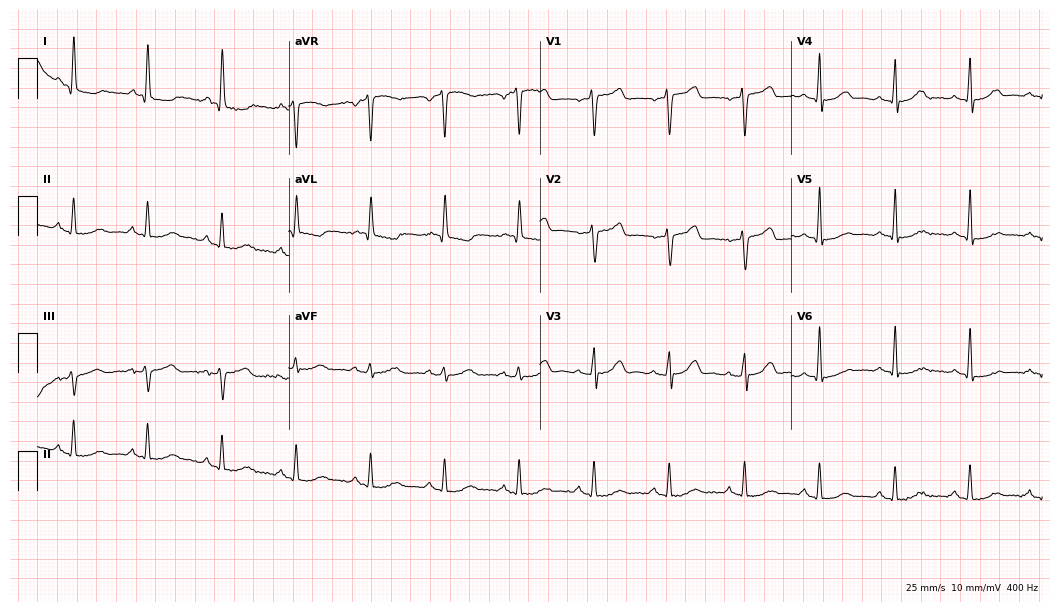
12-lead ECG from a female patient, 70 years old (10.2-second recording at 400 Hz). Recorded interpretation: within normal limits.